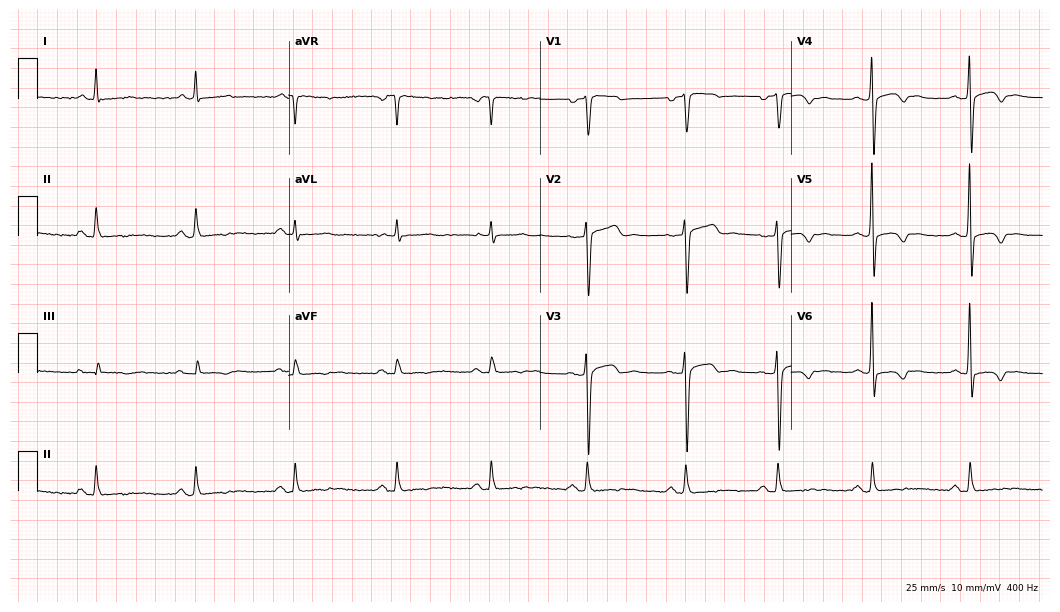
Resting 12-lead electrocardiogram (10.2-second recording at 400 Hz). Patient: a woman, 36 years old. None of these six findings is recorded: first-degree AV block, right bundle branch block, left bundle branch block, sinus bradycardia, atrial fibrillation, sinus tachycardia. Findings outside these six are not listed.